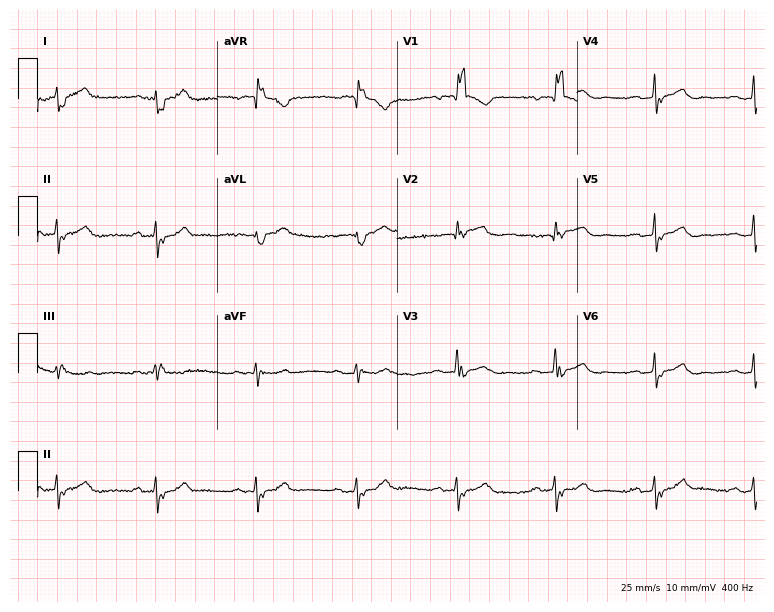
Electrocardiogram, an 81-year-old woman. Interpretation includes right bundle branch block (RBBB).